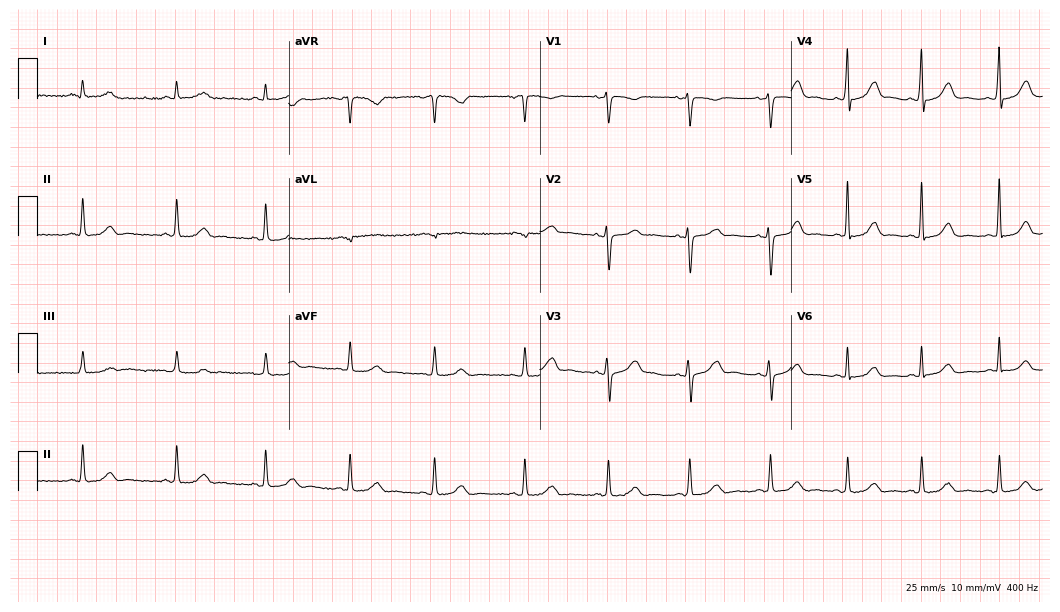
12-lead ECG from a 47-year-old woman (10.2-second recording at 400 Hz). Recorded interpretation: within normal limits.